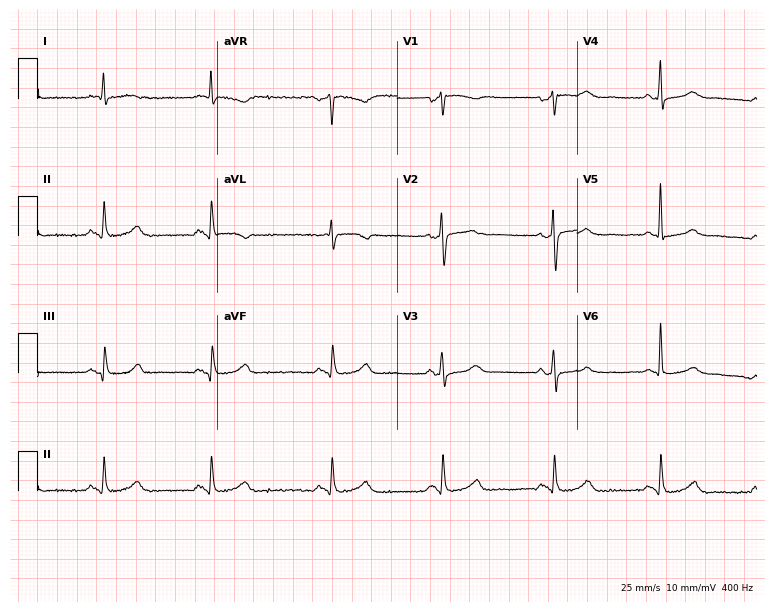
ECG (7.3-second recording at 400 Hz) — a 78-year-old female patient. Labelled as a normal ECG.